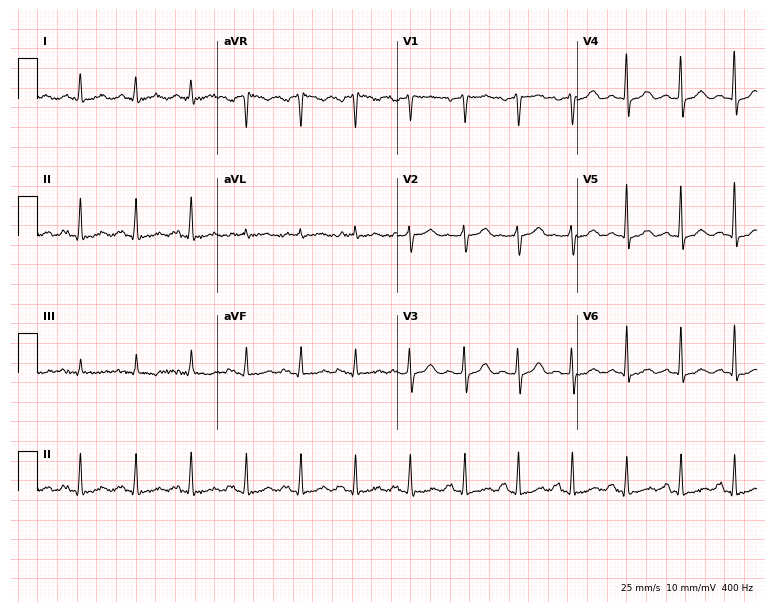
Standard 12-lead ECG recorded from a 55-year-old female patient (7.3-second recording at 400 Hz). The tracing shows sinus tachycardia (a sinus rate of 100 beats per minute or more).